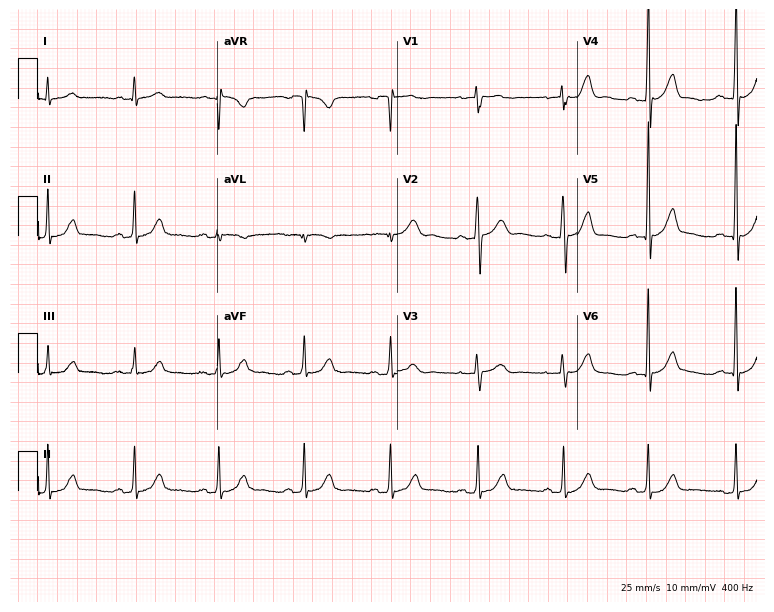
Electrocardiogram, a 58-year-old male patient. Of the six screened findings (first-degree AV block, right bundle branch block, left bundle branch block, sinus bradycardia, atrial fibrillation, sinus tachycardia), none is recorded. Only these six findings were labelled.